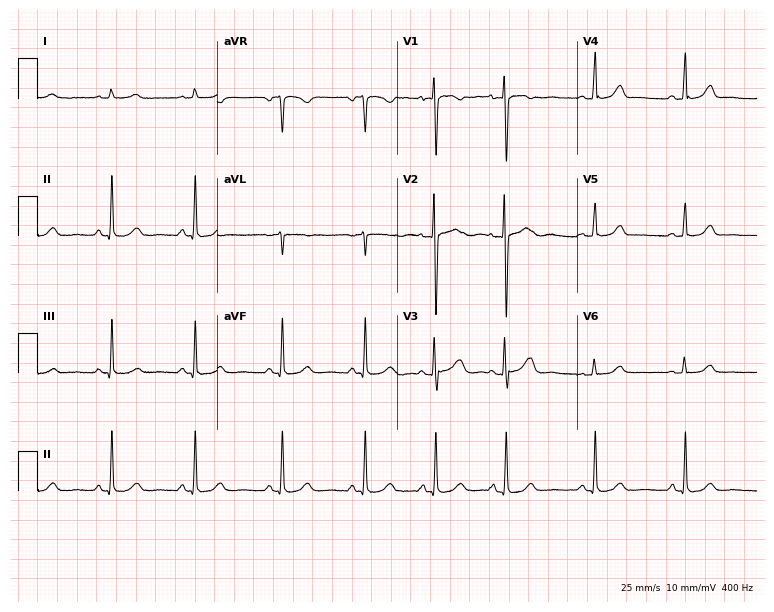
Electrocardiogram, a 32-year-old woman. Overall reading on record: normal ECG.